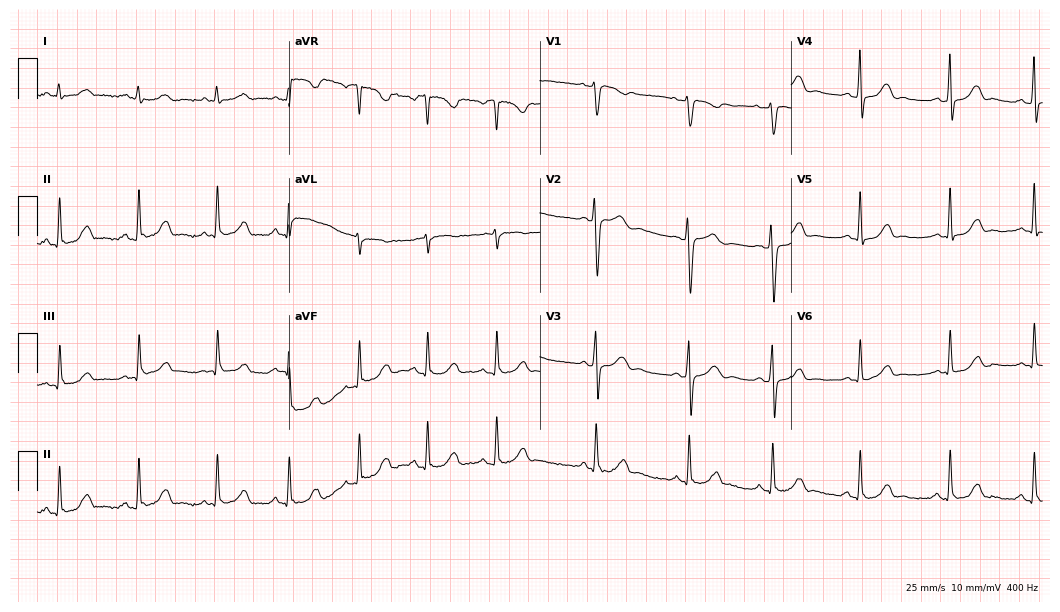
Electrocardiogram (10.2-second recording at 400 Hz), a woman, 39 years old. Overall reading on record: normal ECG.